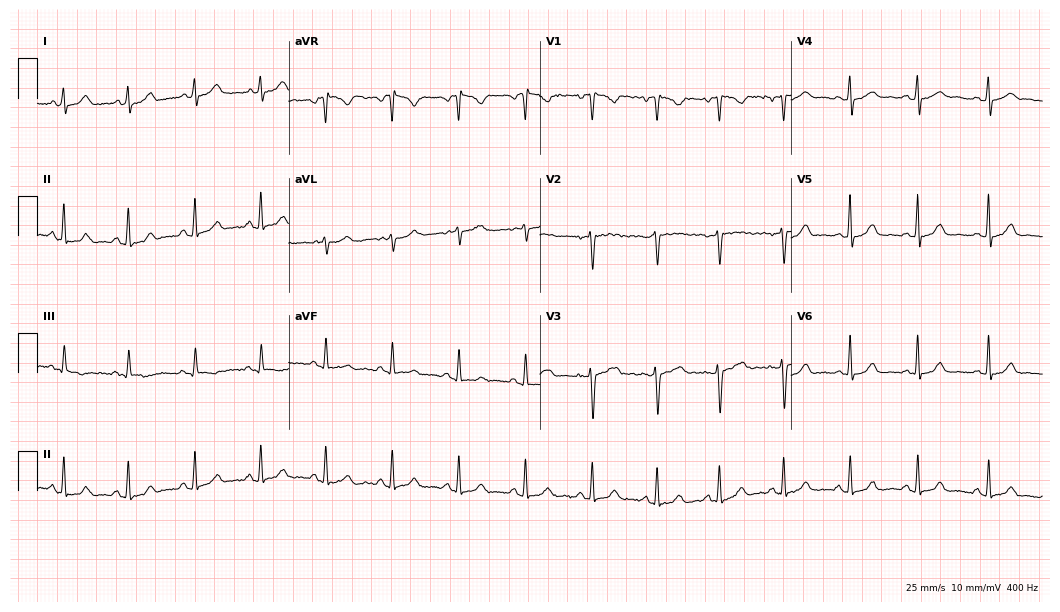
12-lead ECG from a 31-year-old woman (10.2-second recording at 400 Hz). Recorded interpretation: within normal limits.